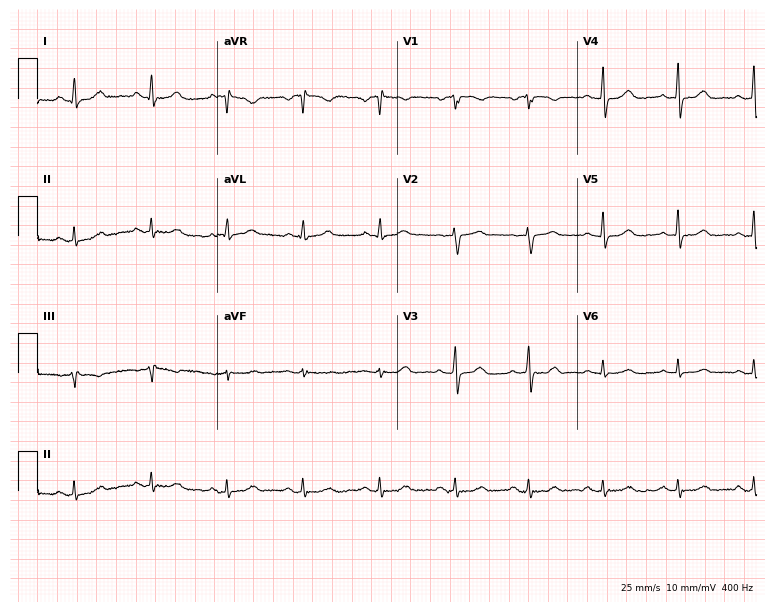
Standard 12-lead ECG recorded from a 47-year-old female patient (7.3-second recording at 400 Hz). Read as a normal ECG.